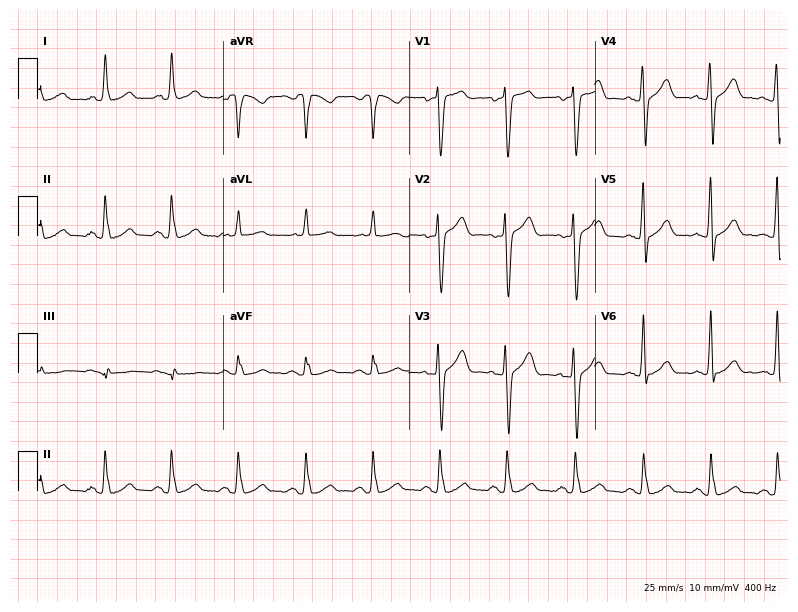
12-lead ECG from a 51-year-old male patient. Labelled as a normal ECG.